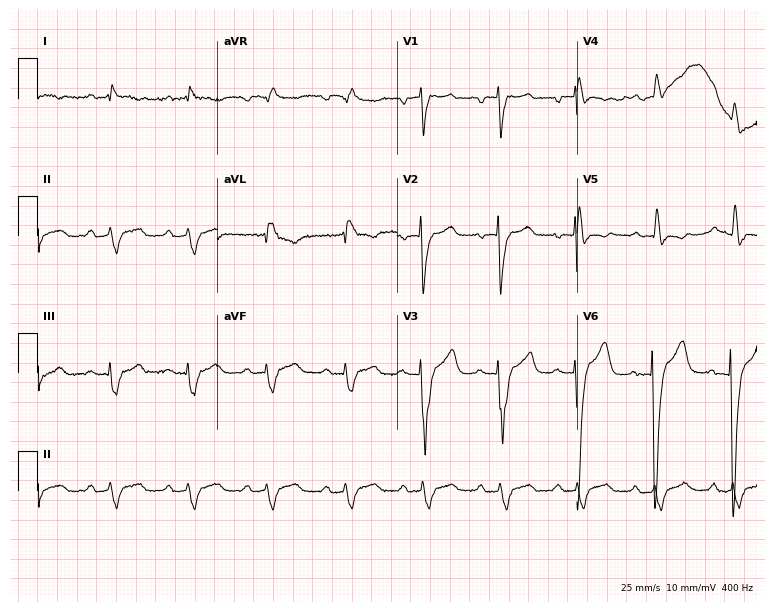
12-lead ECG from a male patient, 84 years old. Shows first-degree AV block, left bundle branch block.